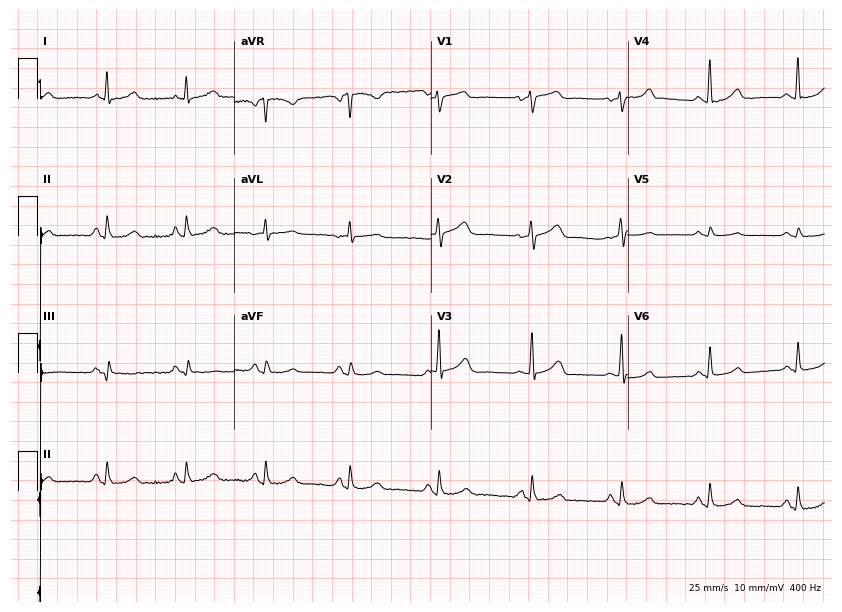
Standard 12-lead ECG recorded from a 59-year-old woman (8-second recording at 400 Hz). Read as a normal ECG.